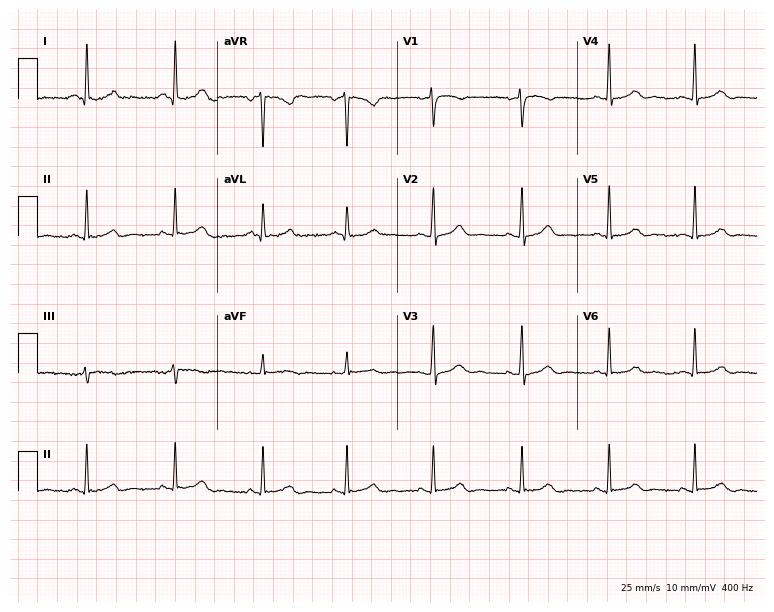
Electrocardiogram, a female, 52 years old. Overall reading on record: normal ECG.